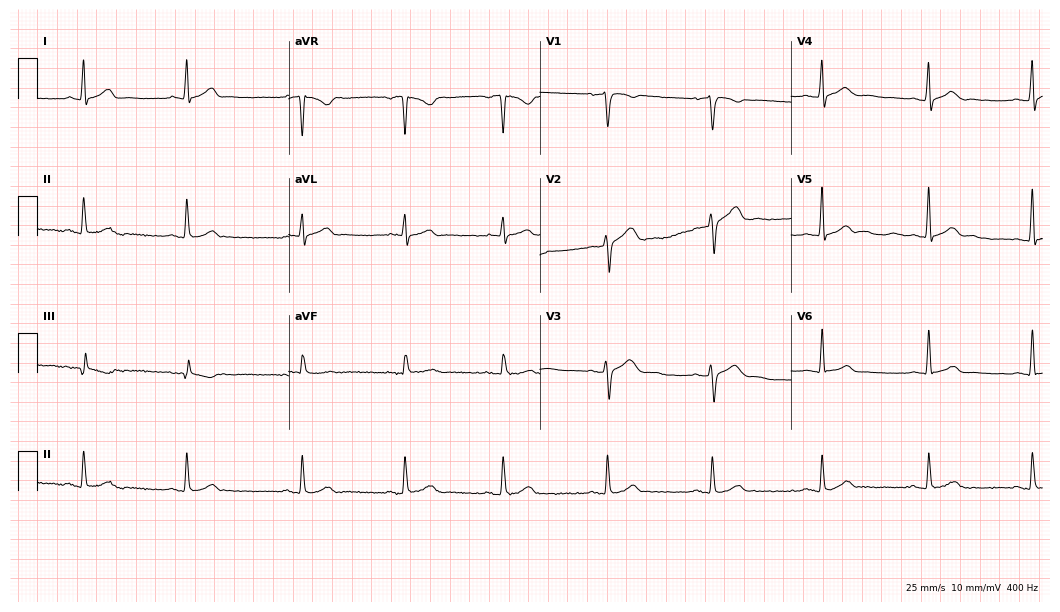
Electrocardiogram, a 23-year-old man. Overall reading on record: normal ECG.